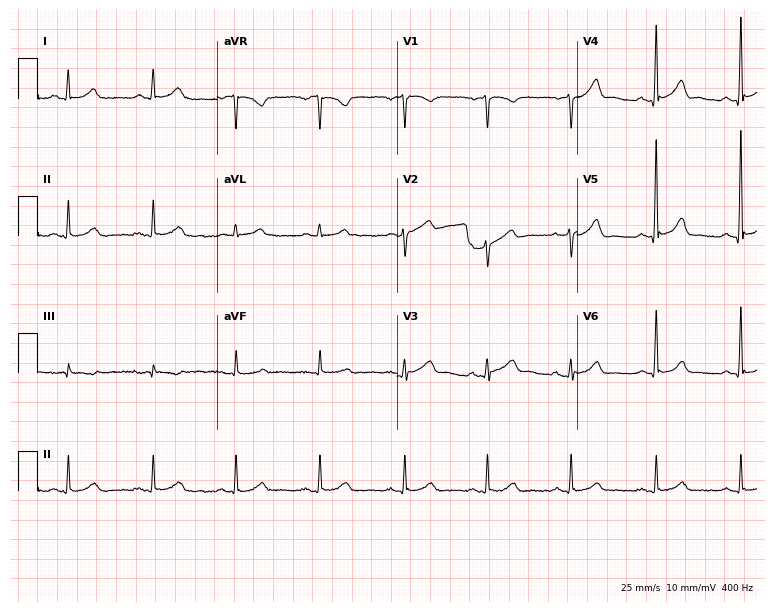
Electrocardiogram (7.3-second recording at 400 Hz), a man, 58 years old. Overall reading on record: normal ECG.